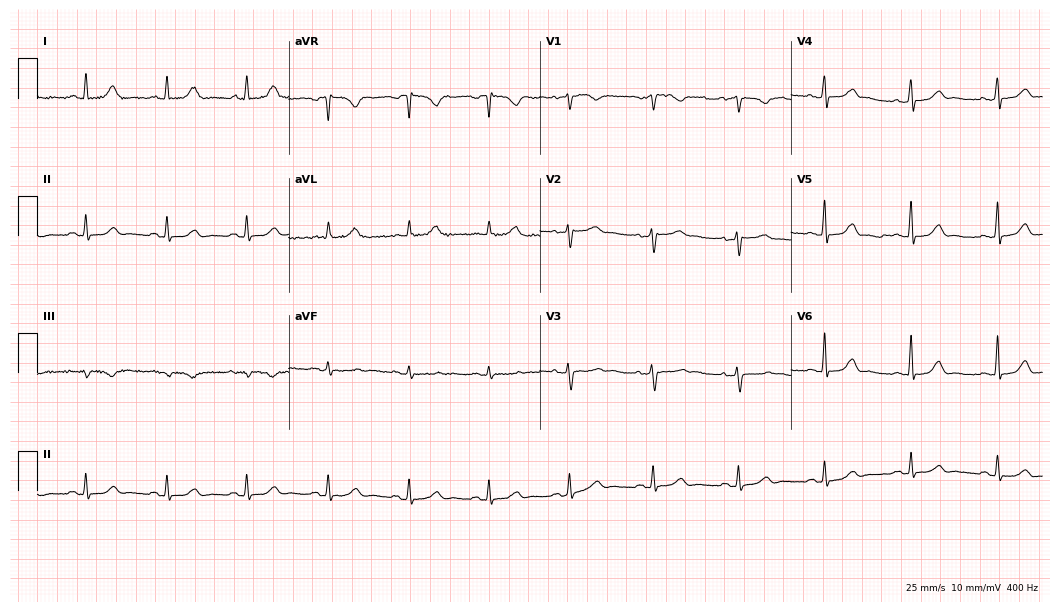
Electrocardiogram (10.2-second recording at 400 Hz), a female patient, 58 years old. Overall reading on record: normal ECG.